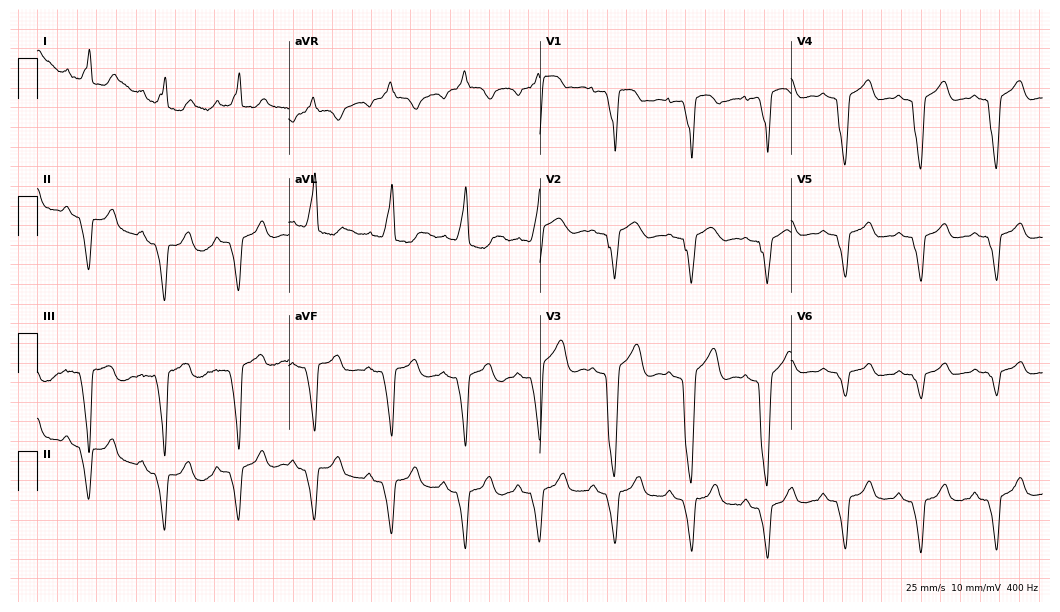
ECG — a female, 79 years old. Screened for six findings — first-degree AV block, right bundle branch block, left bundle branch block, sinus bradycardia, atrial fibrillation, sinus tachycardia — none is recorded.